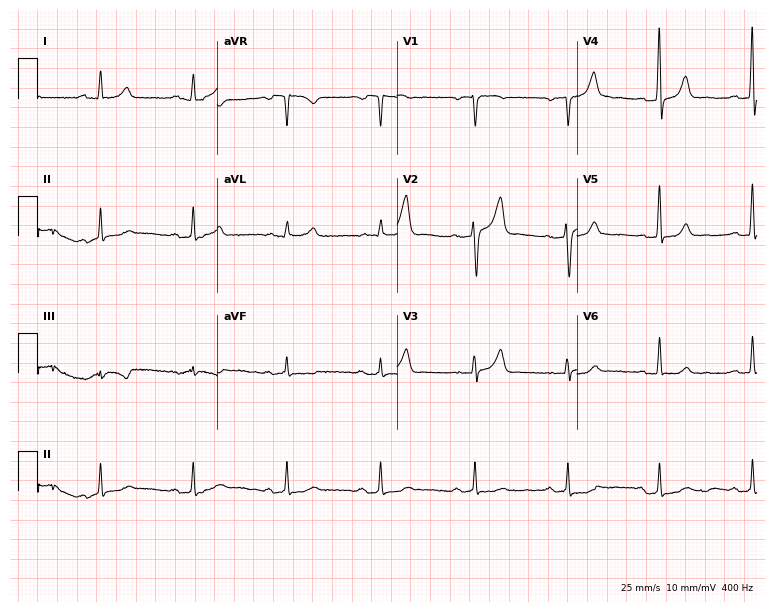
Standard 12-lead ECG recorded from a 64-year-old man. None of these six findings is recorded: first-degree AV block, right bundle branch block, left bundle branch block, sinus bradycardia, atrial fibrillation, sinus tachycardia.